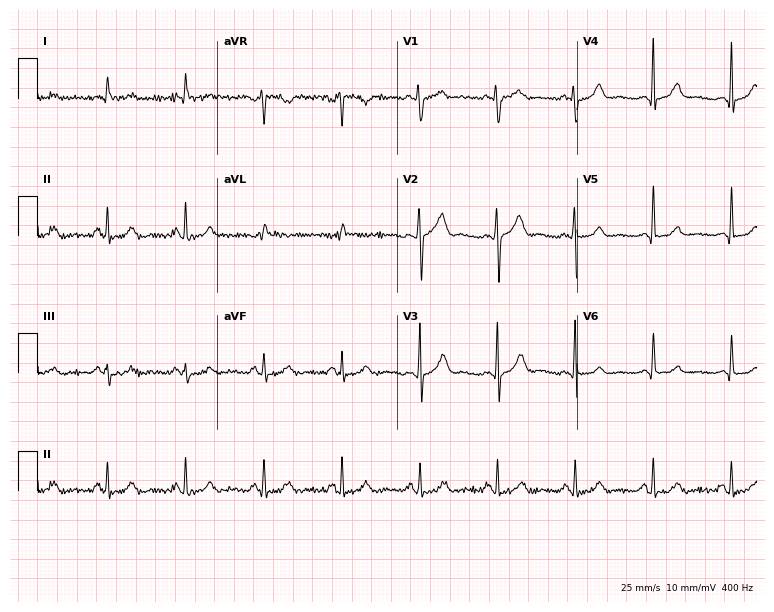
Standard 12-lead ECG recorded from a 25-year-old man (7.3-second recording at 400 Hz). None of these six findings is recorded: first-degree AV block, right bundle branch block, left bundle branch block, sinus bradycardia, atrial fibrillation, sinus tachycardia. Other findings, if any, are not listed.